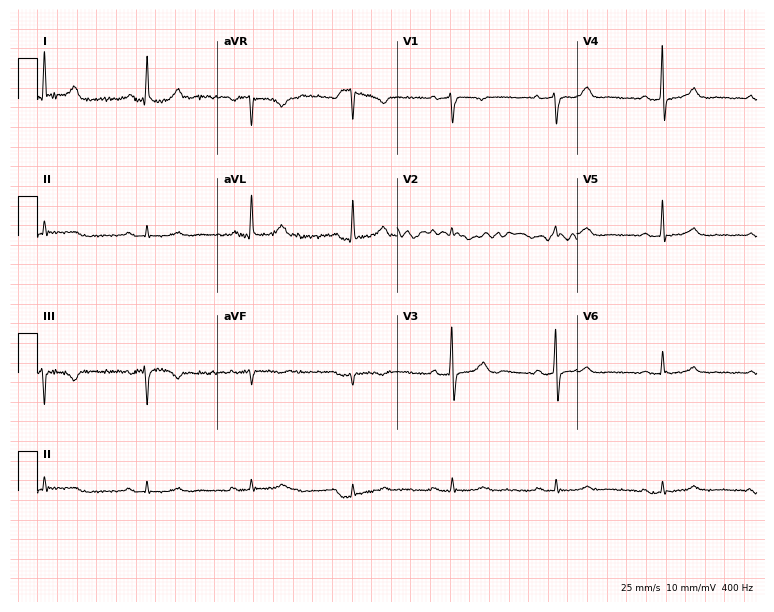
ECG — a man, 74 years old. Labelled as a normal ECG.